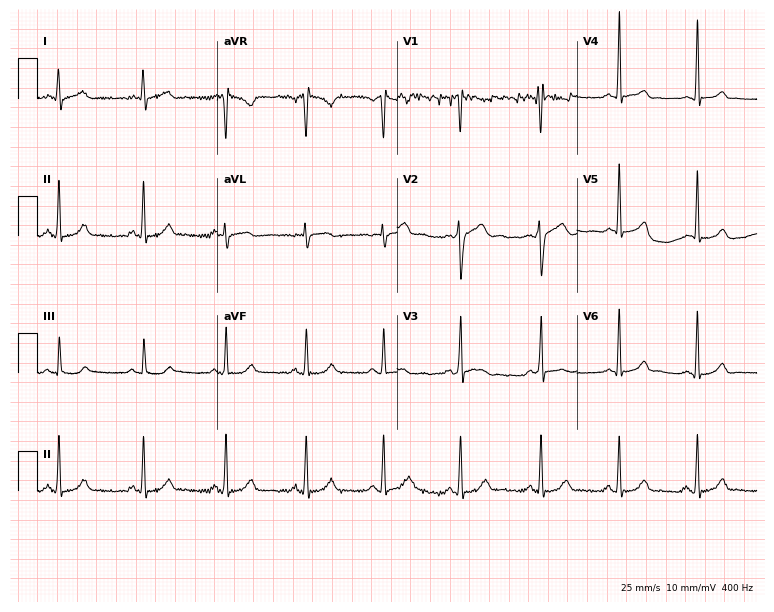
ECG (7.3-second recording at 400 Hz) — a 20-year-old male patient. Screened for six findings — first-degree AV block, right bundle branch block (RBBB), left bundle branch block (LBBB), sinus bradycardia, atrial fibrillation (AF), sinus tachycardia — none is recorded.